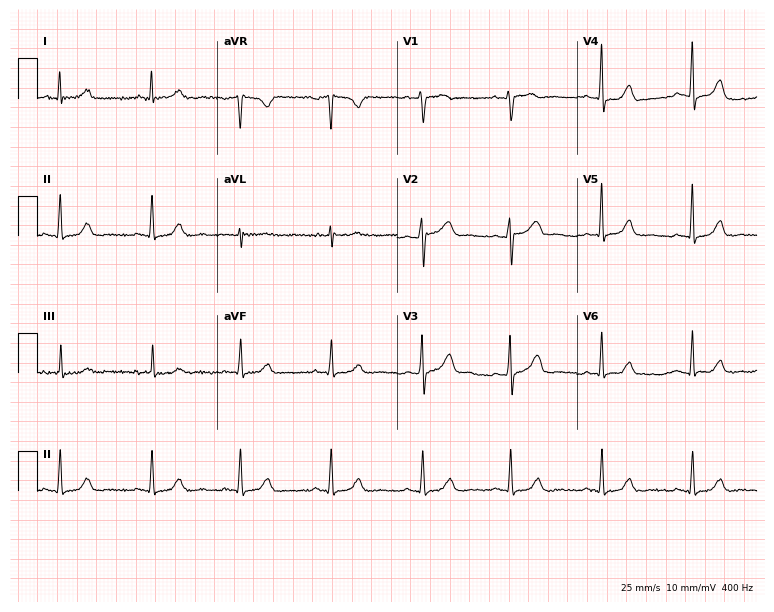
Electrocardiogram (7.3-second recording at 400 Hz), a 50-year-old woman. Overall reading on record: normal ECG.